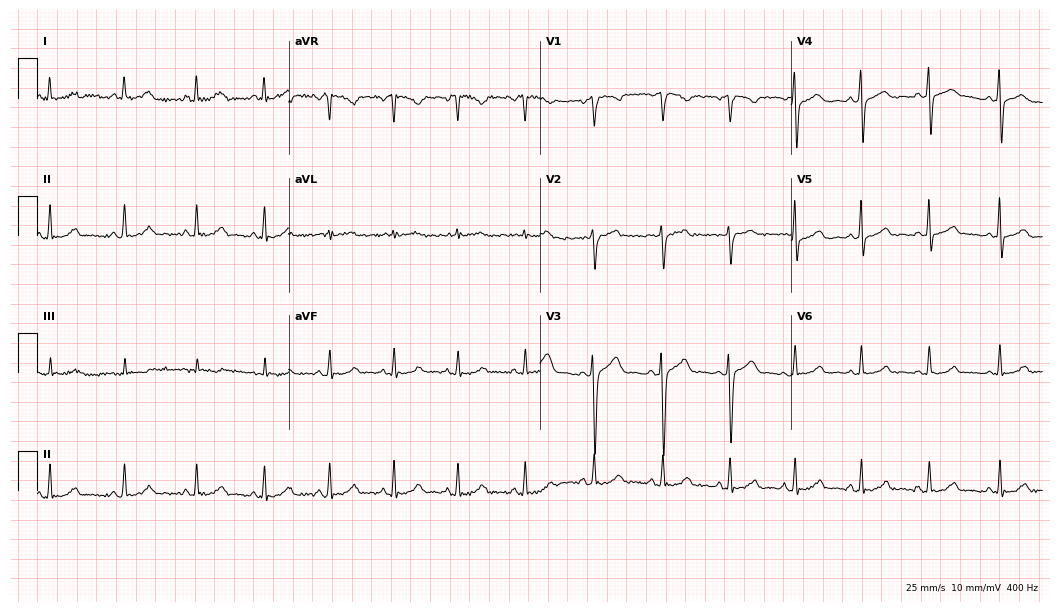
Electrocardiogram, a 37-year-old female. Overall reading on record: normal ECG.